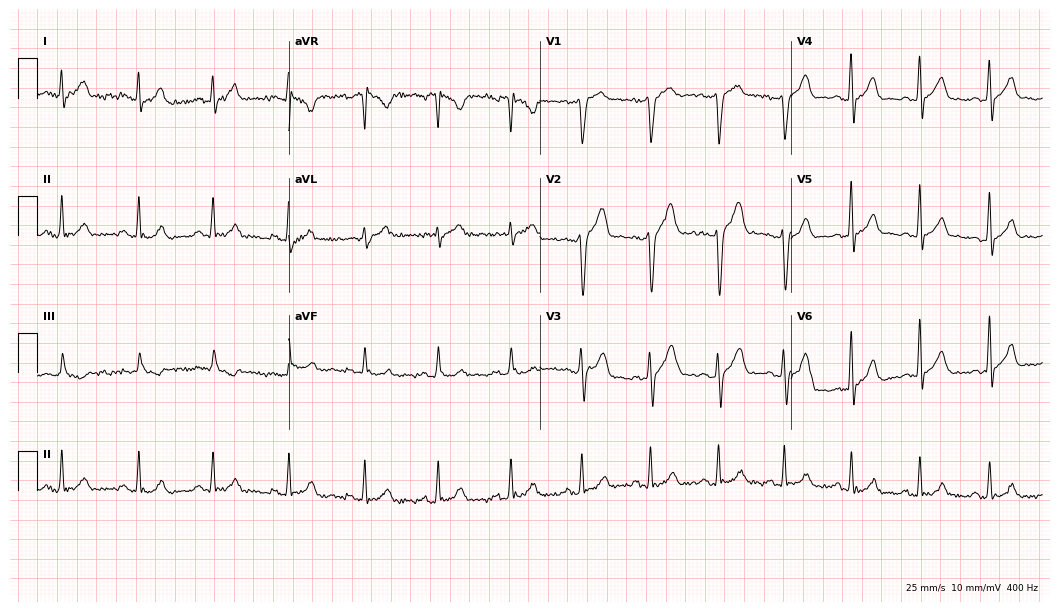
12-lead ECG from a 29-year-old male patient. No first-degree AV block, right bundle branch block, left bundle branch block, sinus bradycardia, atrial fibrillation or sinus tachycardia recorded for this tracing. Other findings, if any, are not listed.